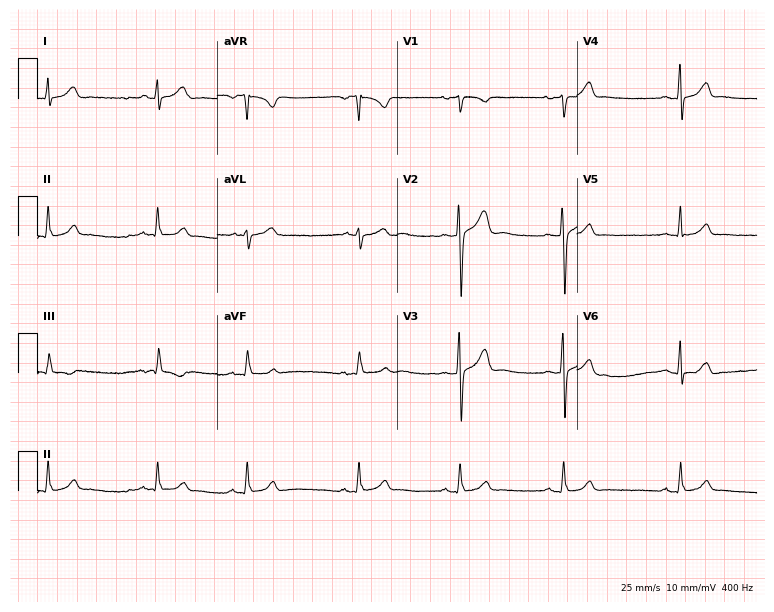
Standard 12-lead ECG recorded from a woman, 25 years old. Read as a normal ECG.